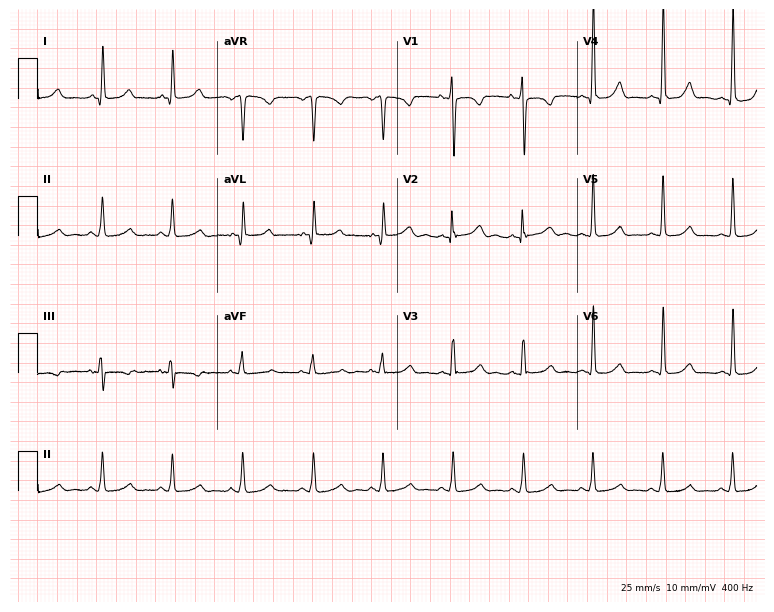
Standard 12-lead ECG recorded from a 31-year-old woman. Read as a normal ECG.